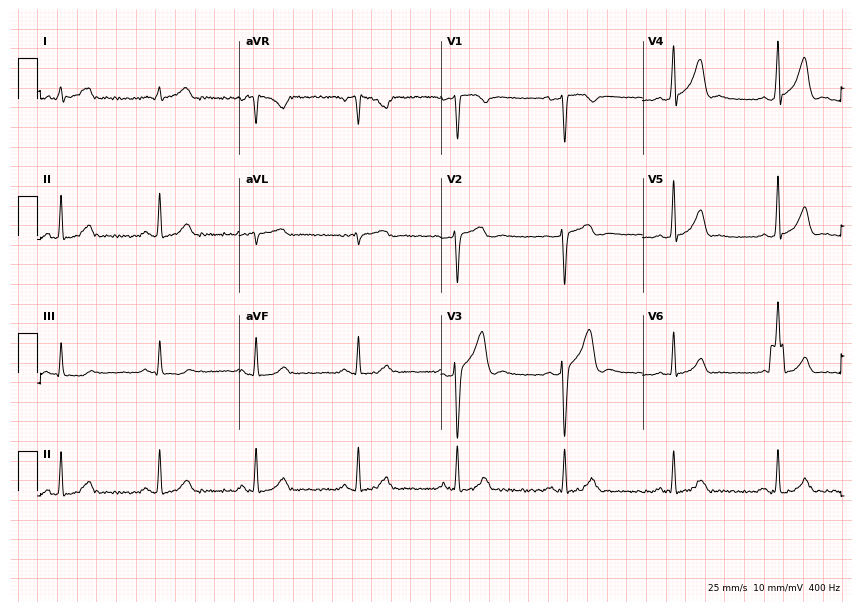
12-lead ECG from a male patient, 29 years old. Screened for six findings — first-degree AV block, right bundle branch block, left bundle branch block, sinus bradycardia, atrial fibrillation, sinus tachycardia — none is recorded. Findings outside these six are not listed.